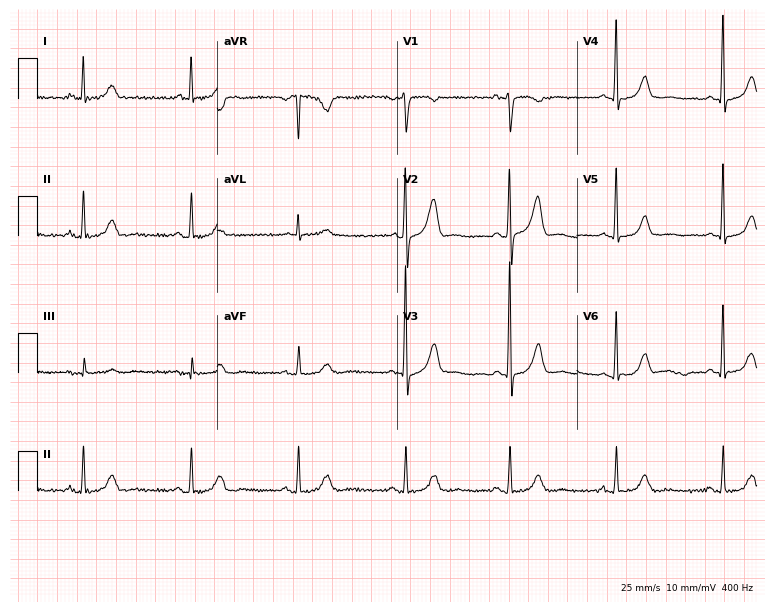
12-lead ECG from a 56-year-old woman. Recorded interpretation: within normal limits.